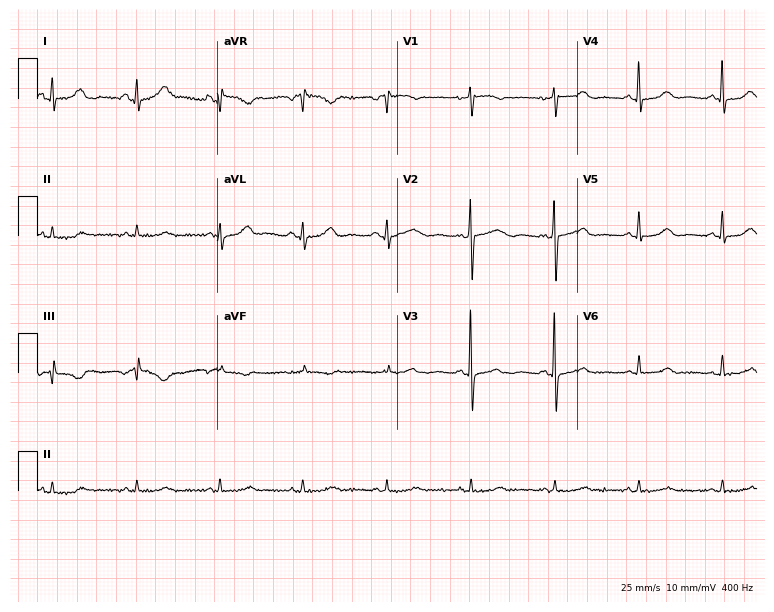
Resting 12-lead electrocardiogram (7.3-second recording at 400 Hz). Patient: a female, 84 years old. Read as a normal ECG.